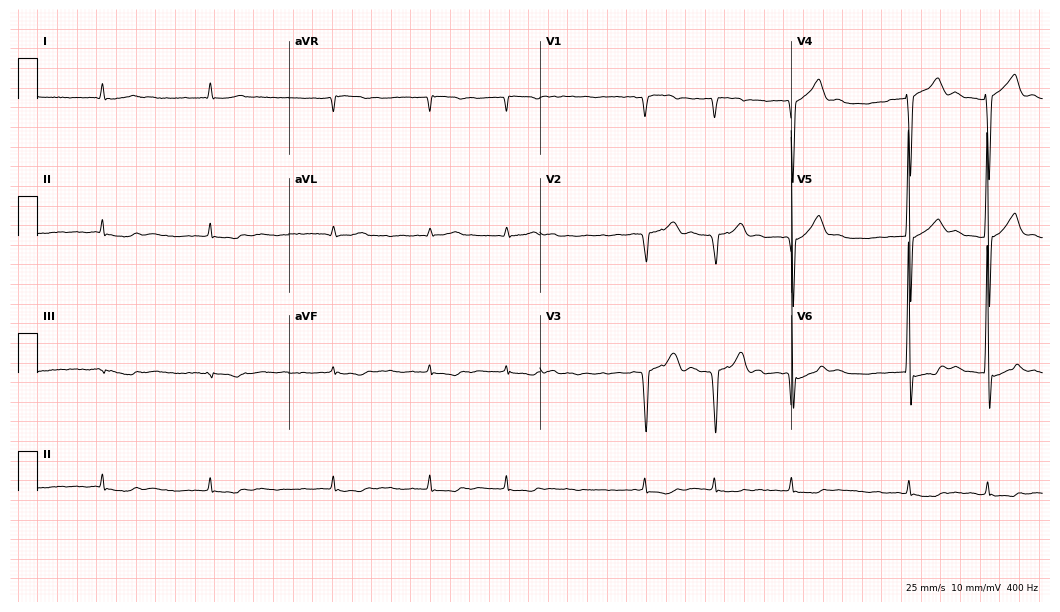
Standard 12-lead ECG recorded from a male, 78 years old (10.2-second recording at 400 Hz). The tracing shows atrial fibrillation (AF).